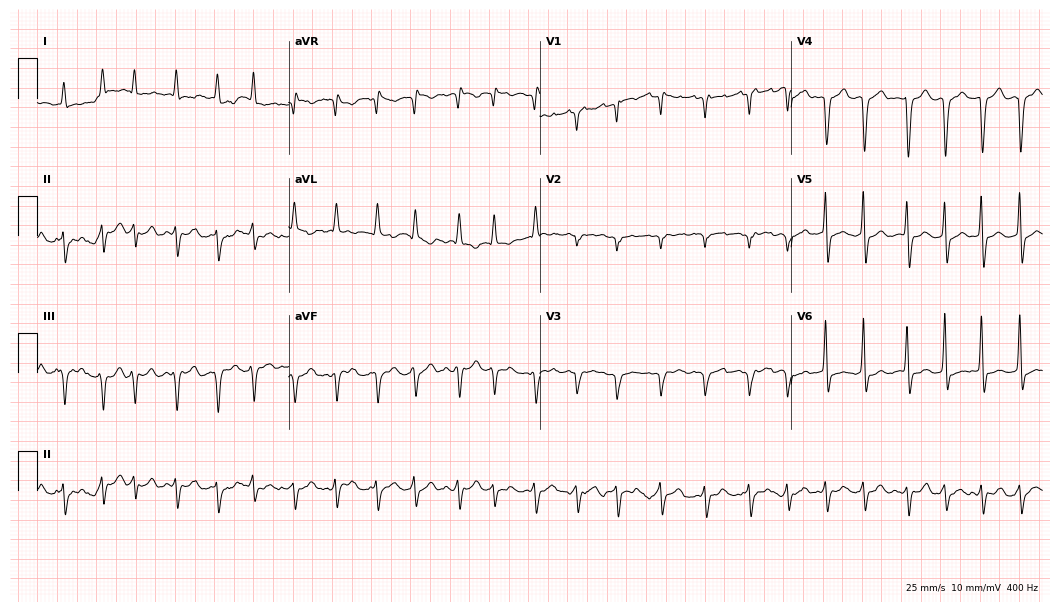
12-lead ECG from a female patient, 64 years old. Shows atrial fibrillation.